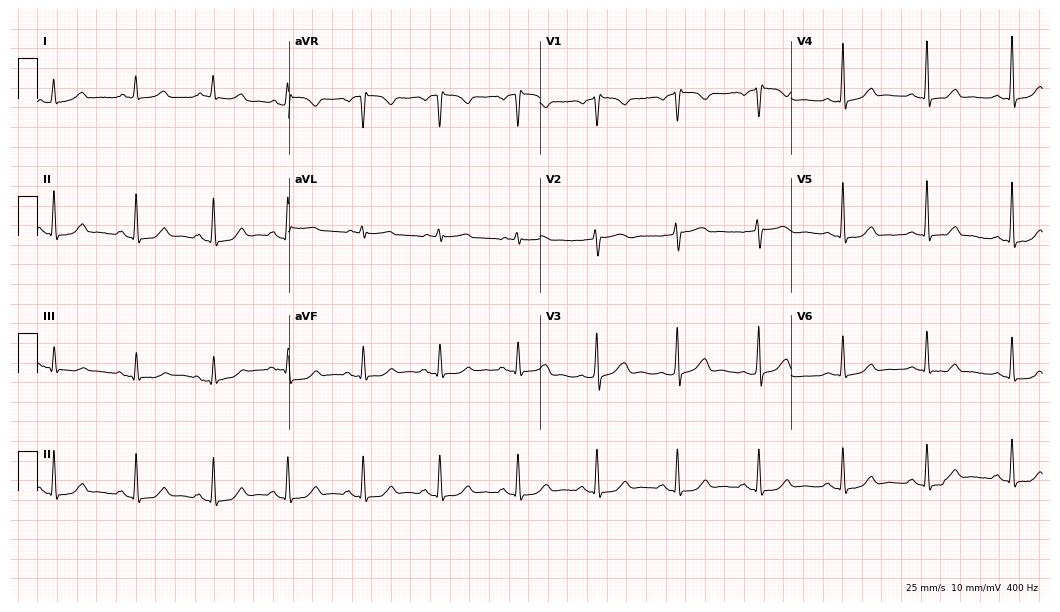
Standard 12-lead ECG recorded from a 61-year-old male (10.2-second recording at 400 Hz). Read as a normal ECG.